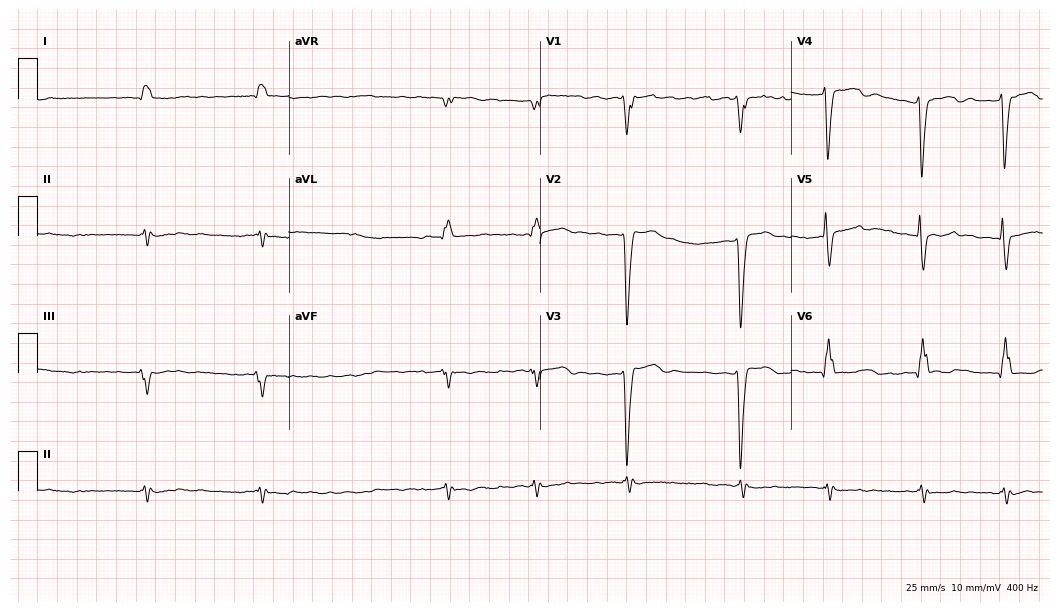
12-lead ECG from a male patient, 56 years old (10.2-second recording at 400 Hz). No first-degree AV block, right bundle branch block (RBBB), left bundle branch block (LBBB), sinus bradycardia, atrial fibrillation (AF) or sinus tachycardia recorded for this tracing. Only these six findings were labelled.